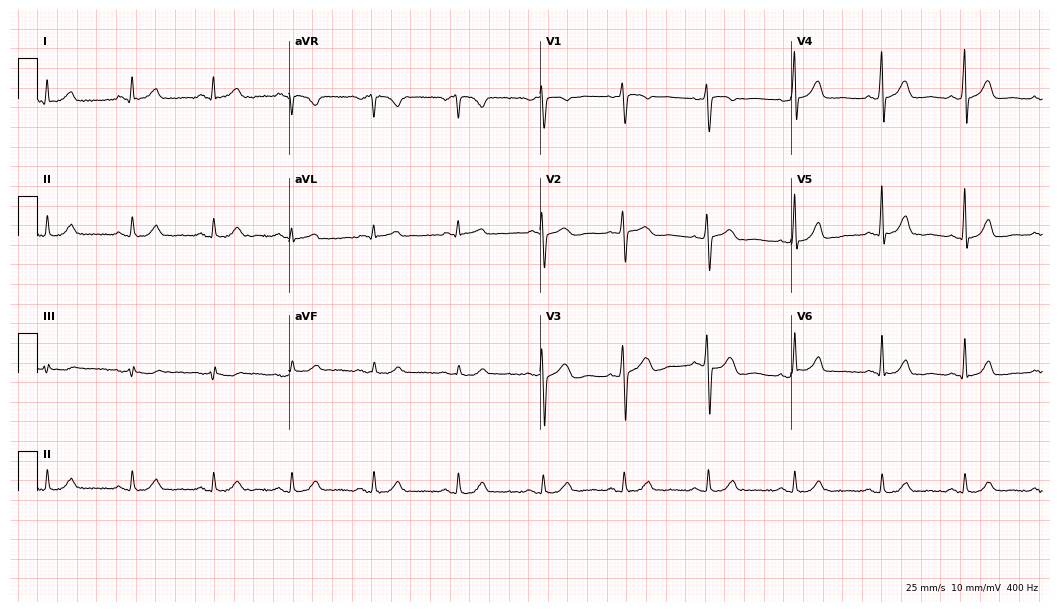
12-lead ECG from a woman, 45 years old (10.2-second recording at 400 Hz). Recorded interpretation: within normal limits.